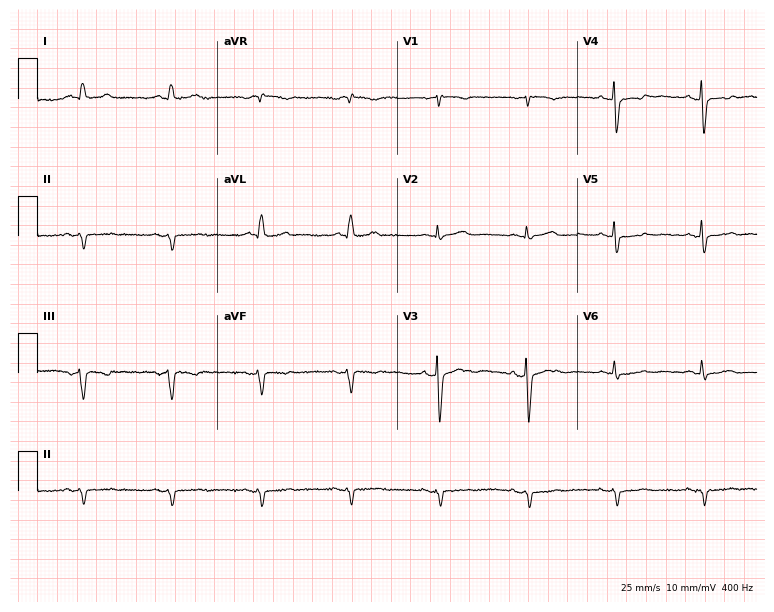
12-lead ECG from a 61-year-old male patient. No first-degree AV block, right bundle branch block, left bundle branch block, sinus bradycardia, atrial fibrillation or sinus tachycardia recorded for this tracing.